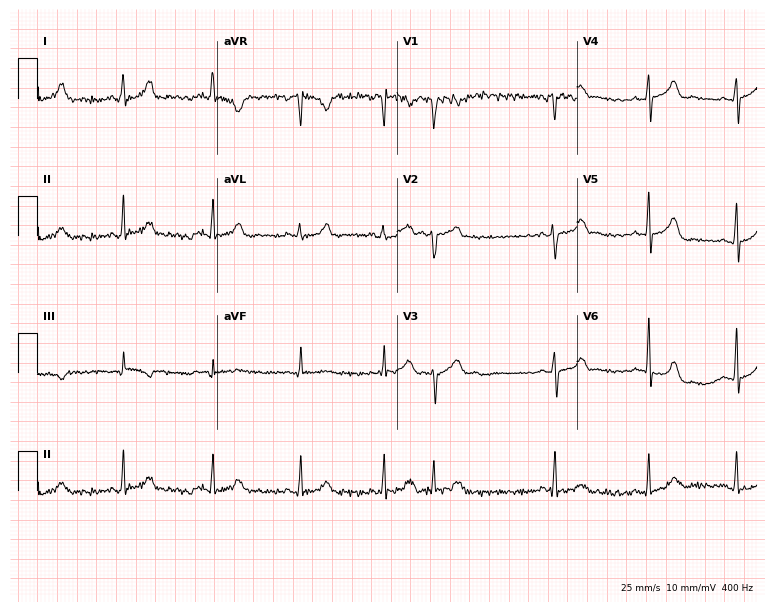
12-lead ECG from a 29-year-old female (7.3-second recording at 400 Hz). No first-degree AV block, right bundle branch block (RBBB), left bundle branch block (LBBB), sinus bradycardia, atrial fibrillation (AF) or sinus tachycardia recorded for this tracing.